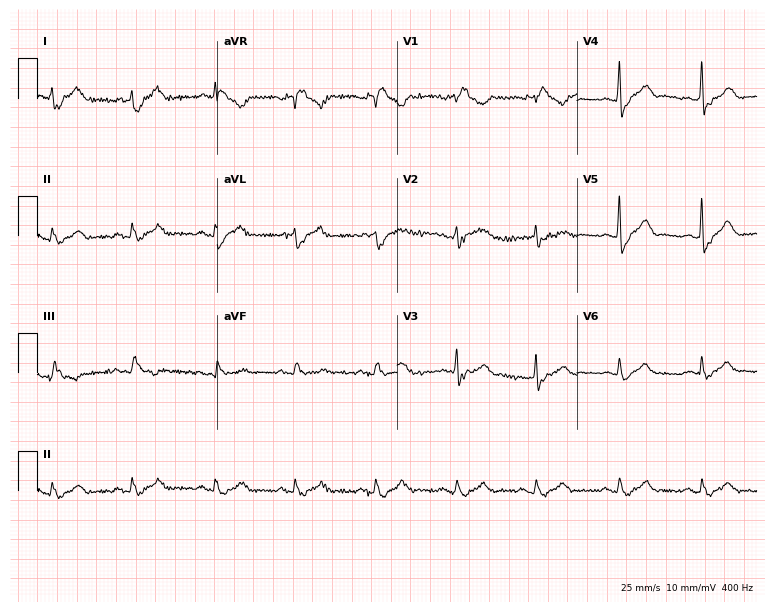
12-lead ECG from a male, 73 years old. Findings include right bundle branch block.